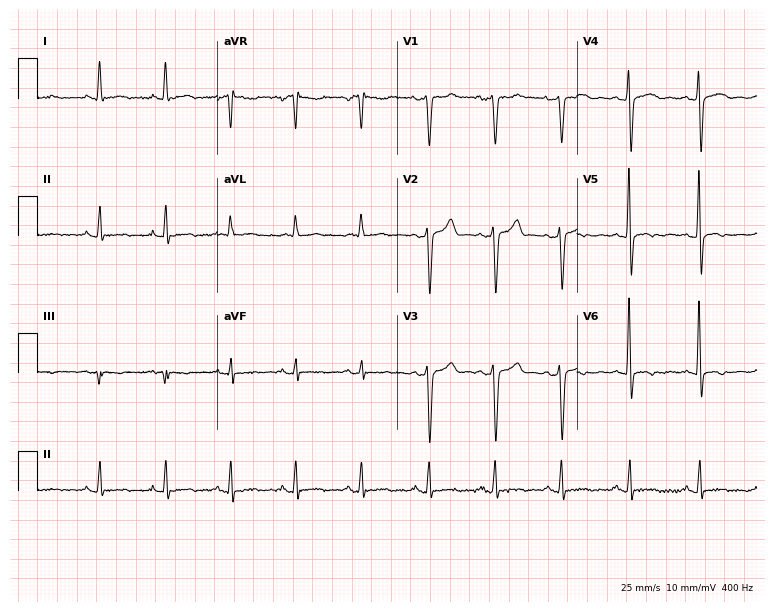
12-lead ECG from a male, 45 years old. No first-degree AV block, right bundle branch block, left bundle branch block, sinus bradycardia, atrial fibrillation or sinus tachycardia recorded for this tracing. Other findings, if any, are not listed.